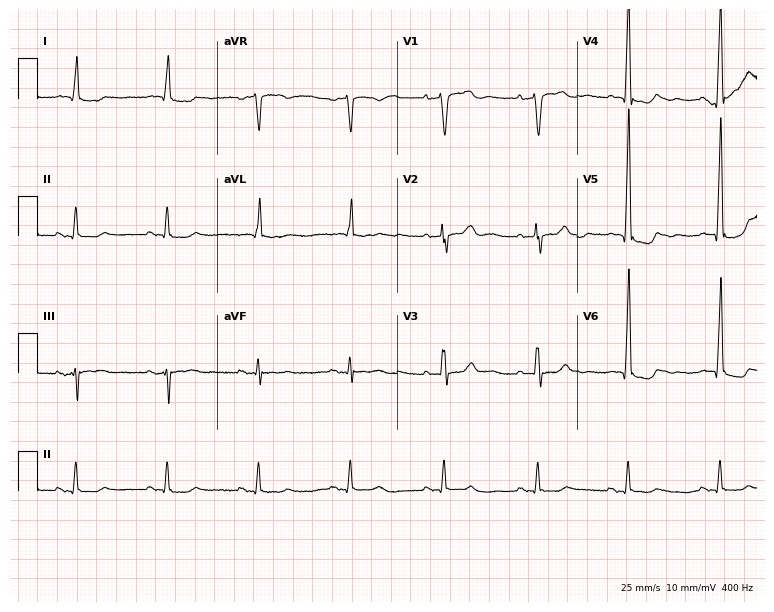
Electrocardiogram, a male patient, 85 years old. Of the six screened findings (first-degree AV block, right bundle branch block, left bundle branch block, sinus bradycardia, atrial fibrillation, sinus tachycardia), none is recorded. Other findings, if any, are not listed.